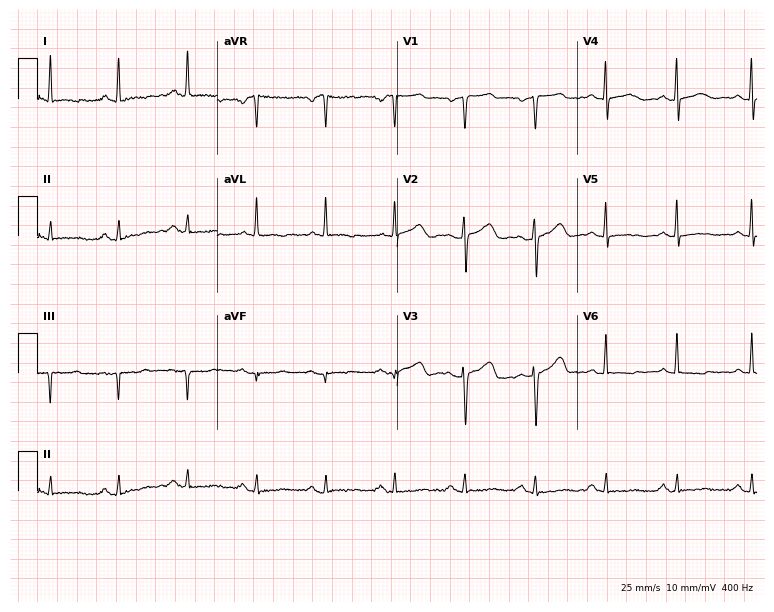
12-lead ECG from a 60-year-old female. Labelled as a normal ECG.